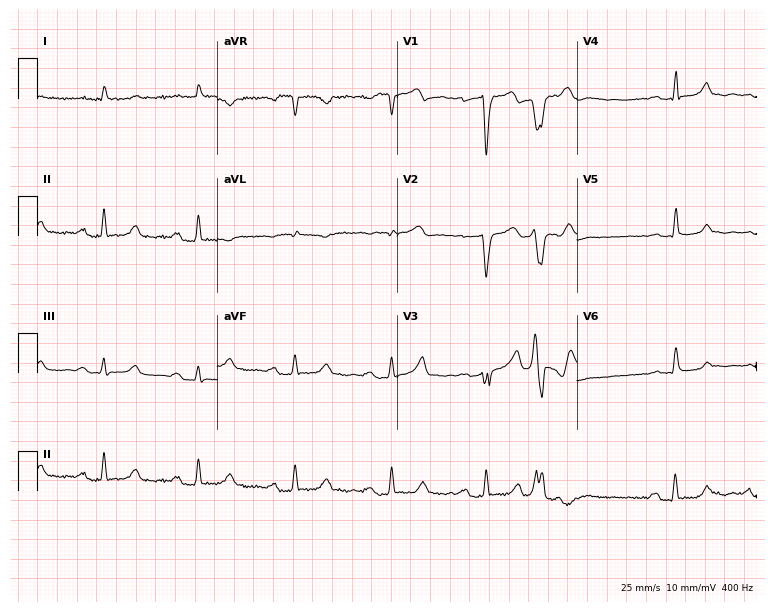
ECG — a 68-year-old male. Findings include first-degree AV block.